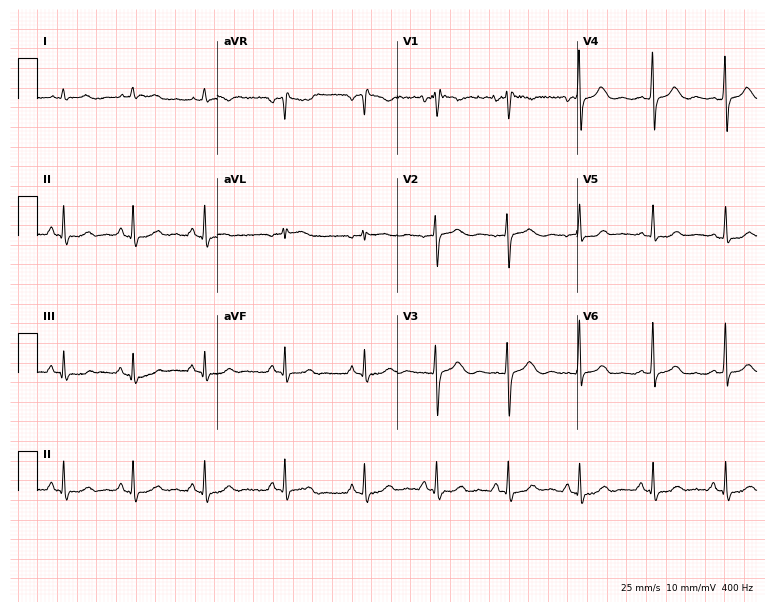
ECG (7.3-second recording at 400 Hz) — a 26-year-old female. Screened for six findings — first-degree AV block, right bundle branch block (RBBB), left bundle branch block (LBBB), sinus bradycardia, atrial fibrillation (AF), sinus tachycardia — none is recorded. Findings outside these six are not listed.